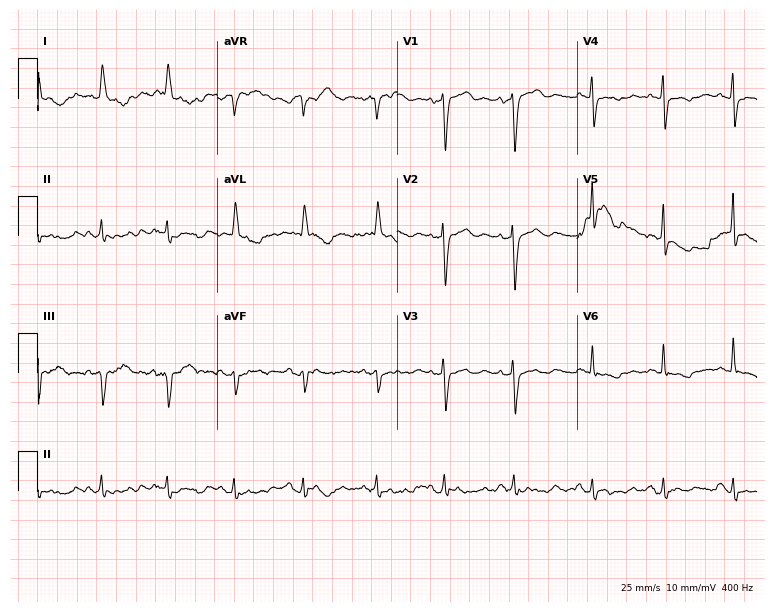
ECG — an 83-year-old woman. Screened for six findings — first-degree AV block, right bundle branch block (RBBB), left bundle branch block (LBBB), sinus bradycardia, atrial fibrillation (AF), sinus tachycardia — none is recorded. Only these six findings were labelled.